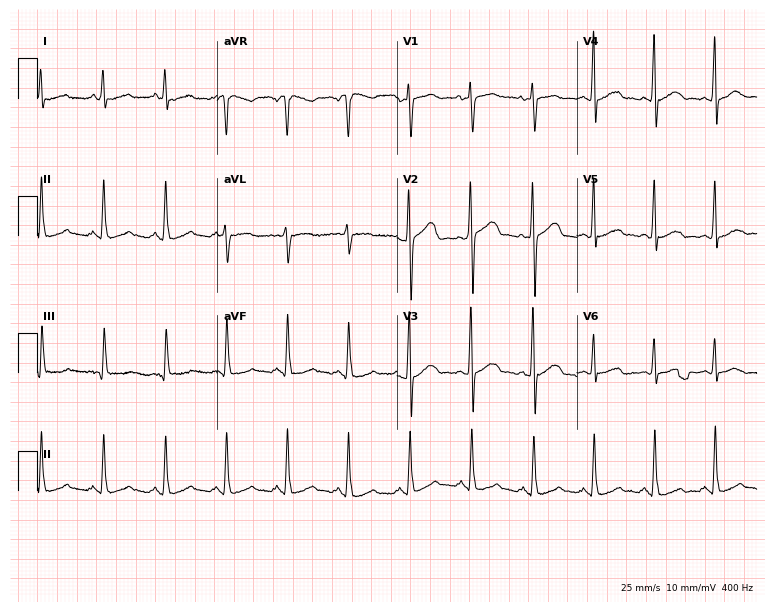
Standard 12-lead ECG recorded from a female patient, 49 years old (7.3-second recording at 400 Hz). Read as a normal ECG.